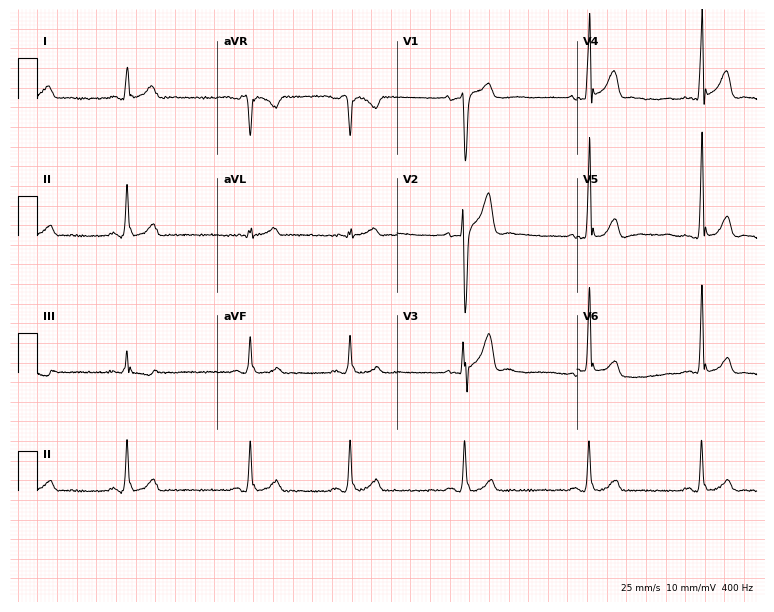
ECG — a man, 27 years old. Screened for six findings — first-degree AV block, right bundle branch block (RBBB), left bundle branch block (LBBB), sinus bradycardia, atrial fibrillation (AF), sinus tachycardia — none is recorded.